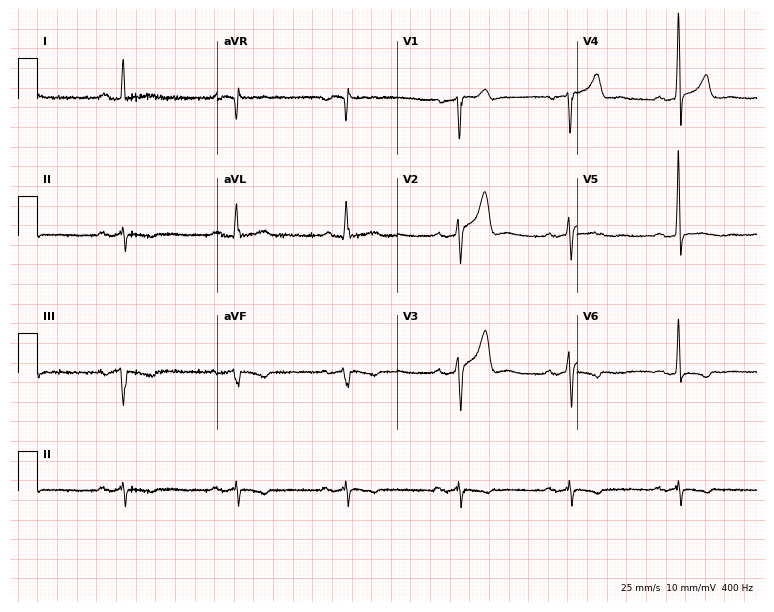
Resting 12-lead electrocardiogram. Patient: a 49-year-old man. The tracing shows first-degree AV block.